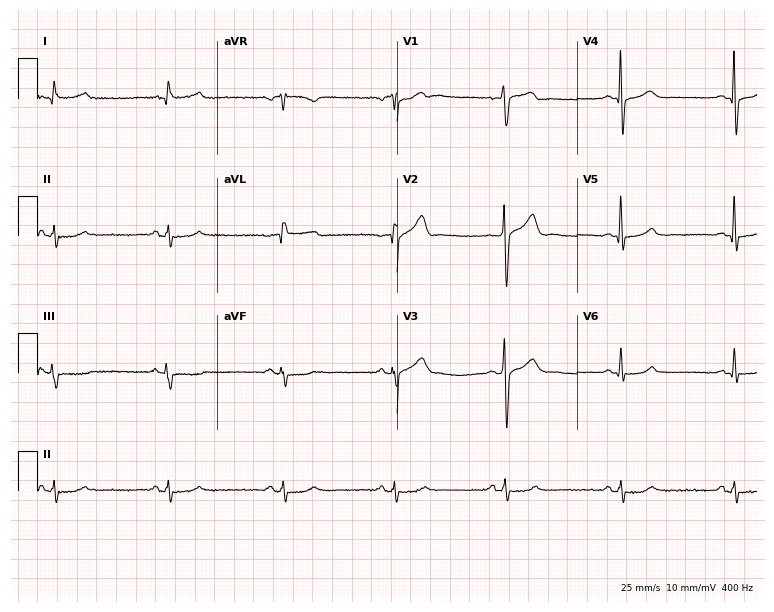
12-lead ECG (7.3-second recording at 400 Hz) from a 61-year-old male patient. Screened for six findings — first-degree AV block, right bundle branch block (RBBB), left bundle branch block (LBBB), sinus bradycardia, atrial fibrillation (AF), sinus tachycardia — none is recorded. Only these six findings were labelled.